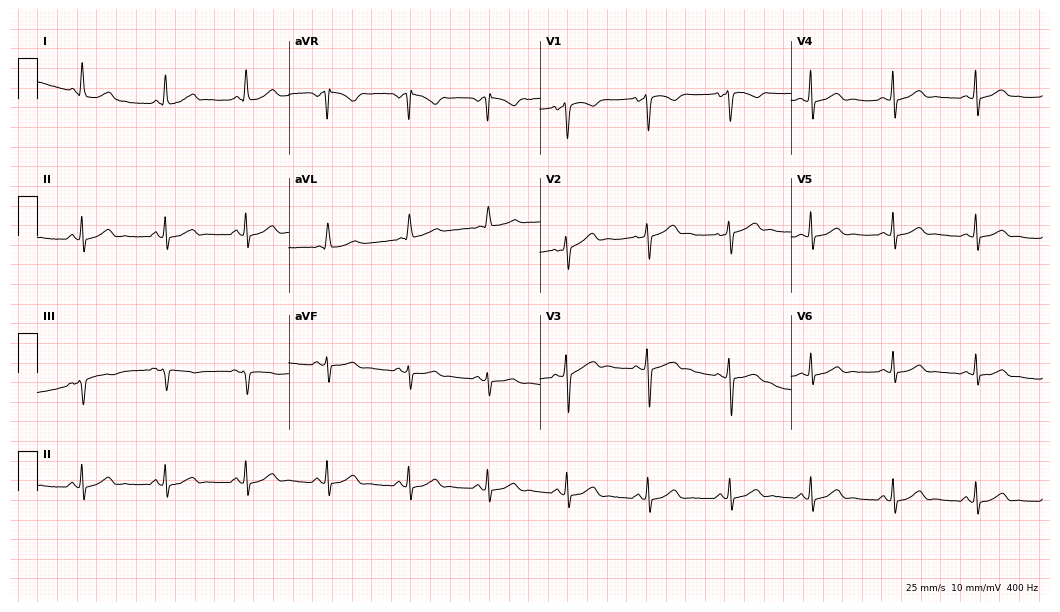
Electrocardiogram, a 40-year-old woman. Overall reading on record: normal ECG.